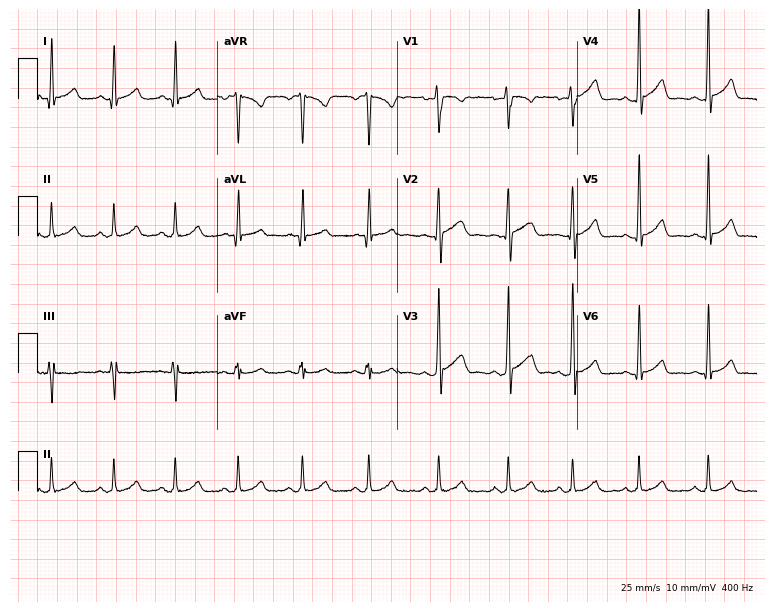
Electrocardiogram (7.3-second recording at 400 Hz), a man, 24 years old. Overall reading on record: normal ECG.